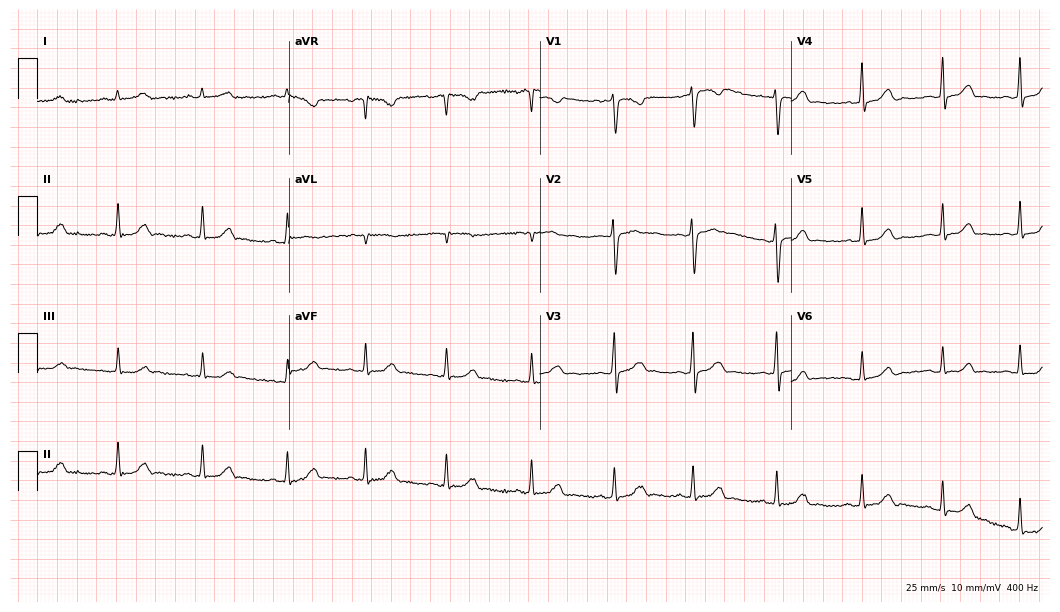
Standard 12-lead ECG recorded from a 26-year-old female. Read as a normal ECG.